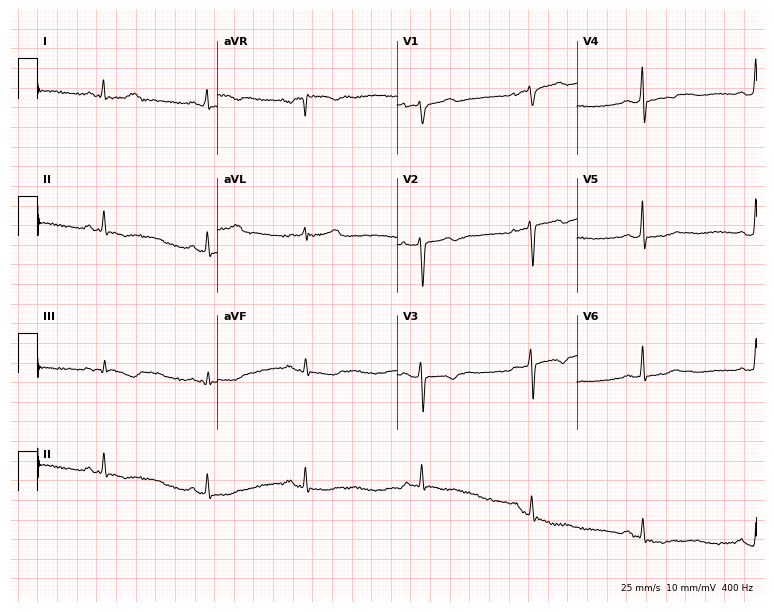
Electrocardiogram, a 34-year-old woman. Of the six screened findings (first-degree AV block, right bundle branch block, left bundle branch block, sinus bradycardia, atrial fibrillation, sinus tachycardia), none is recorded.